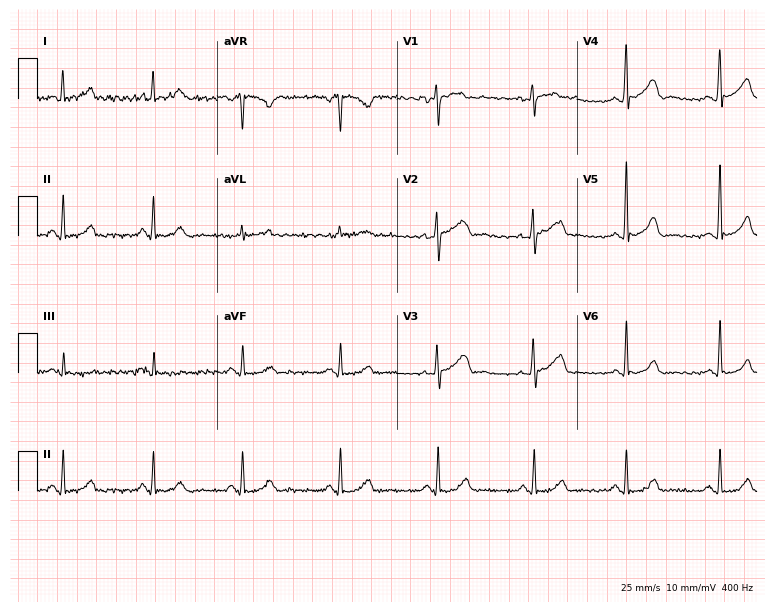
Standard 12-lead ECG recorded from a woman, 43 years old. Read as a normal ECG.